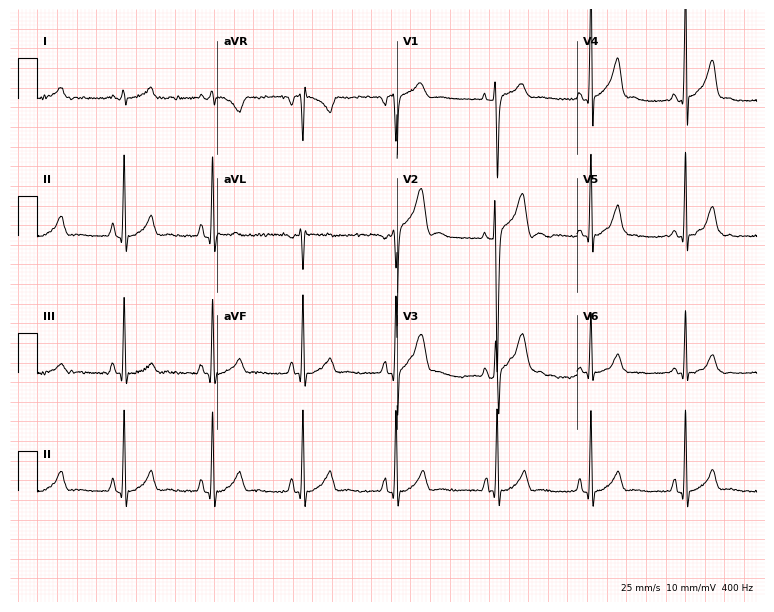
Electrocardiogram (7.3-second recording at 400 Hz), a 17-year-old male patient. Overall reading on record: normal ECG.